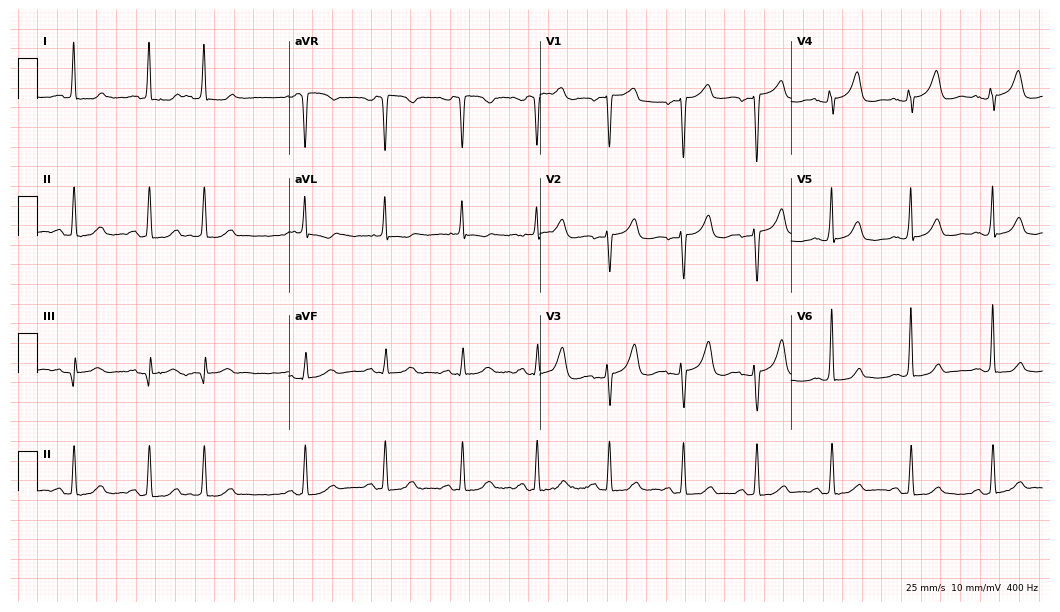
ECG (10.2-second recording at 400 Hz) — a female patient, 82 years old. Labelled as a normal ECG.